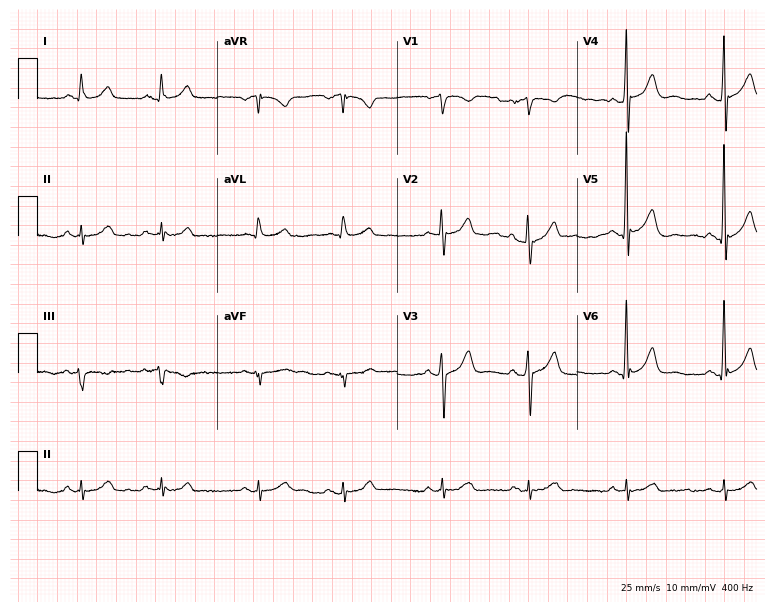
12-lead ECG (7.3-second recording at 400 Hz) from a male, 69 years old. Labelled as a normal ECG.